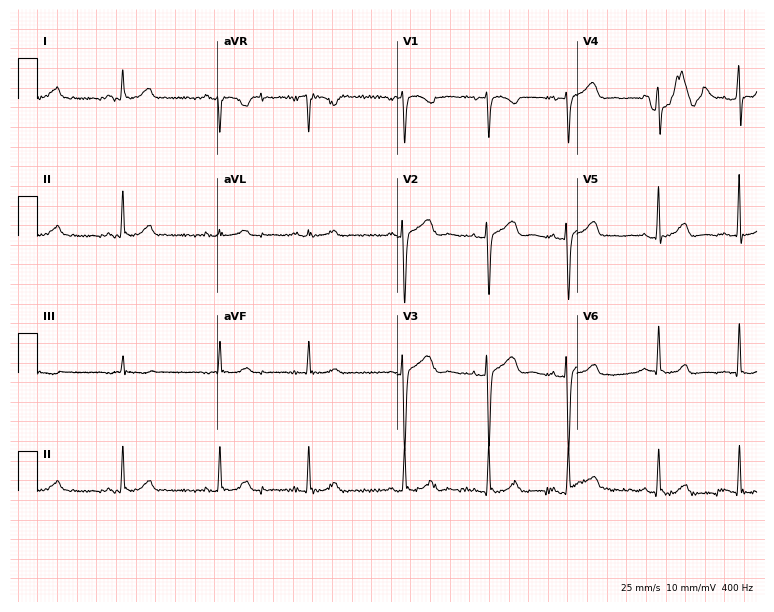
Standard 12-lead ECG recorded from a woman, 34 years old. None of these six findings is recorded: first-degree AV block, right bundle branch block, left bundle branch block, sinus bradycardia, atrial fibrillation, sinus tachycardia.